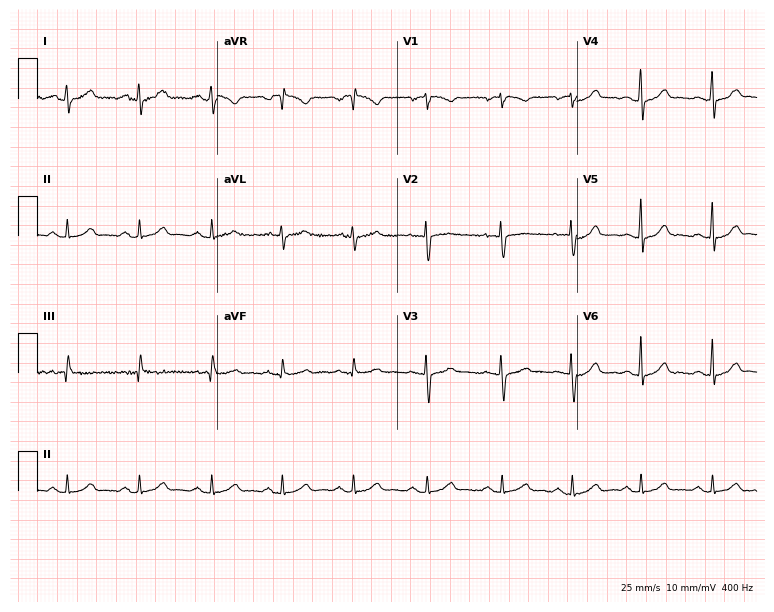
Electrocardiogram (7.3-second recording at 400 Hz), a 31-year-old female. Overall reading on record: normal ECG.